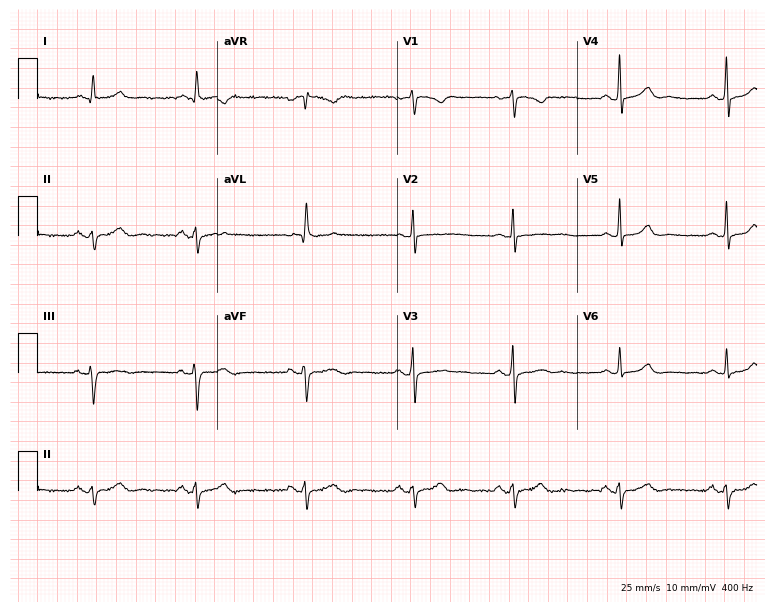
ECG (7.3-second recording at 400 Hz) — a female, 61 years old. Screened for six findings — first-degree AV block, right bundle branch block, left bundle branch block, sinus bradycardia, atrial fibrillation, sinus tachycardia — none is recorded.